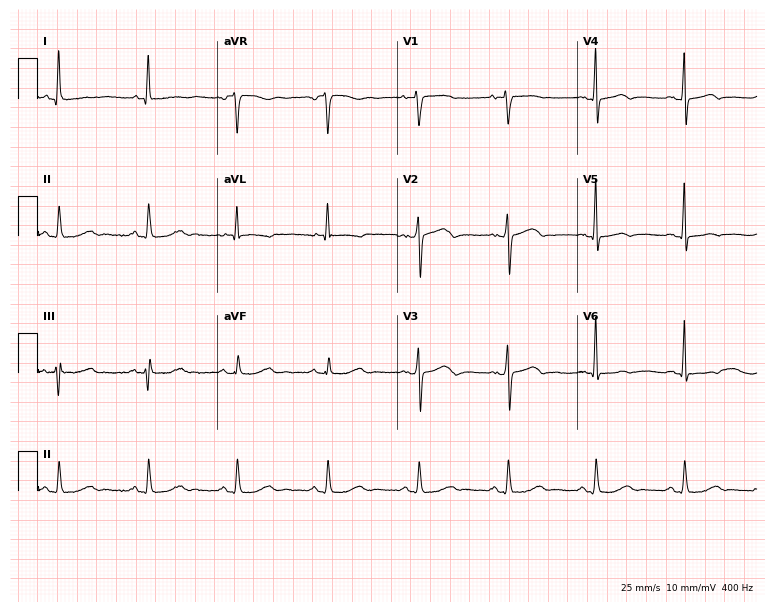
Standard 12-lead ECG recorded from a 56-year-old female patient. None of these six findings is recorded: first-degree AV block, right bundle branch block (RBBB), left bundle branch block (LBBB), sinus bradycardia, atrial fibrillation (AF), sinus tachycardia.